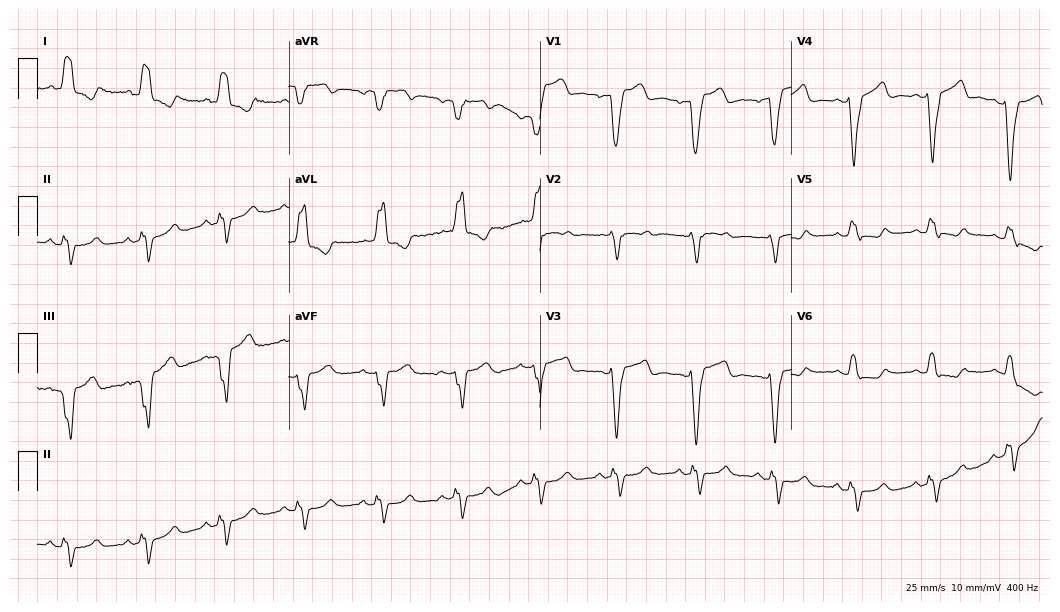
Electrocardiogram, a woman, 76 years old. Interpretation includes left bundle branch block.